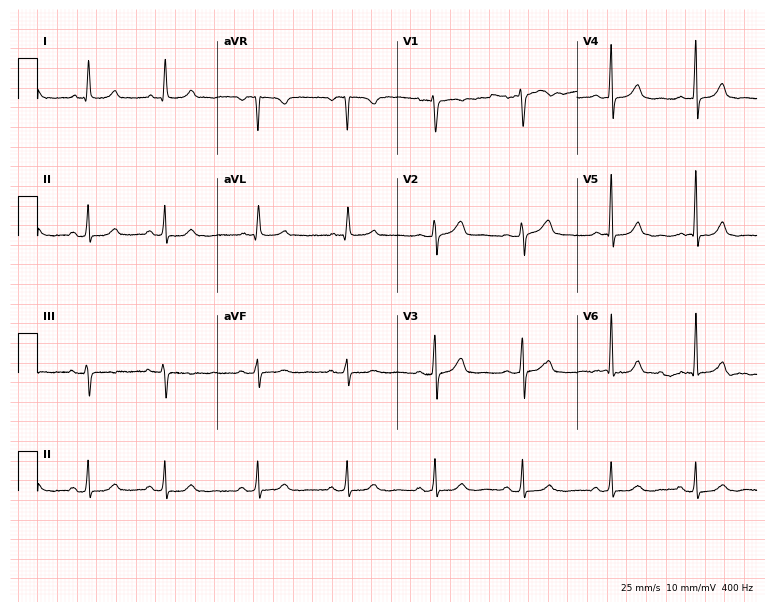
Resting 12-lead electrocardiogram (7.3-second recording at 400 Hz). Patient: a 38-year-old female. Read as a normal ECG.